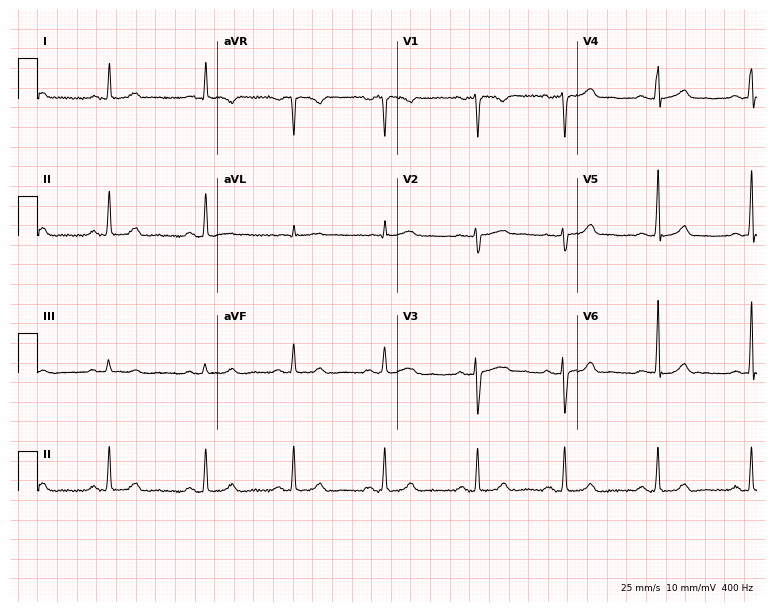
ECG — a 38-year-old female patient. Labelled as a normal ECG.